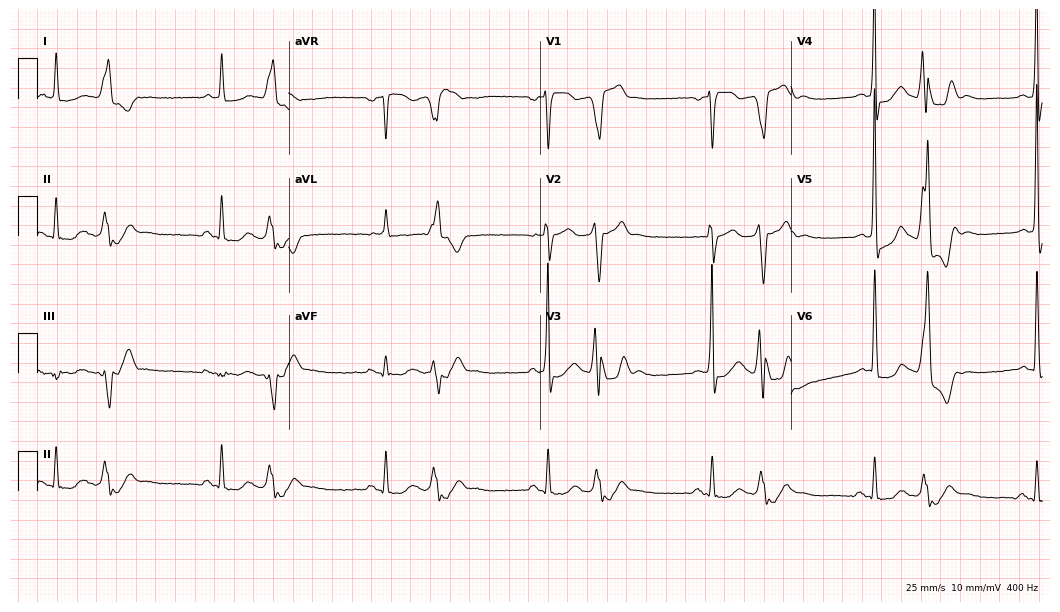
Standard 12-lead ECG recorded from an 81-year-old male. Read as a normal ECG.